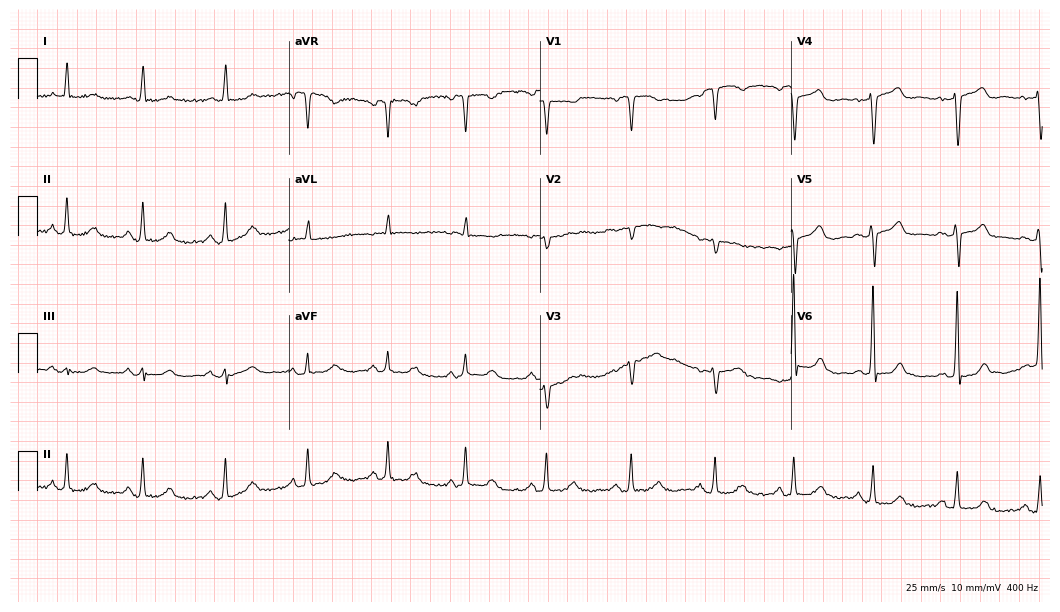
12-lead ECG from a woman, 60 years old. No first-degree AV block, right bundle branch block (RBBB), left bundle branch block (LBBB), sinus bradycardia, atrial fibrillation (AF) or sinus tachycardia recorded for this tracing. Other findings, if any, are not listed.